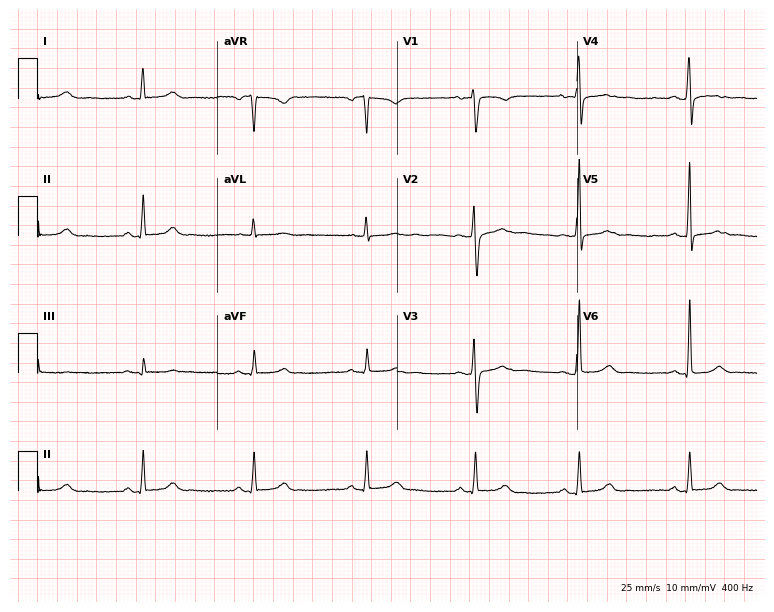
Standard 12-lead ECG recorded from a 39-year-old female patient. Read as a normal ECG.